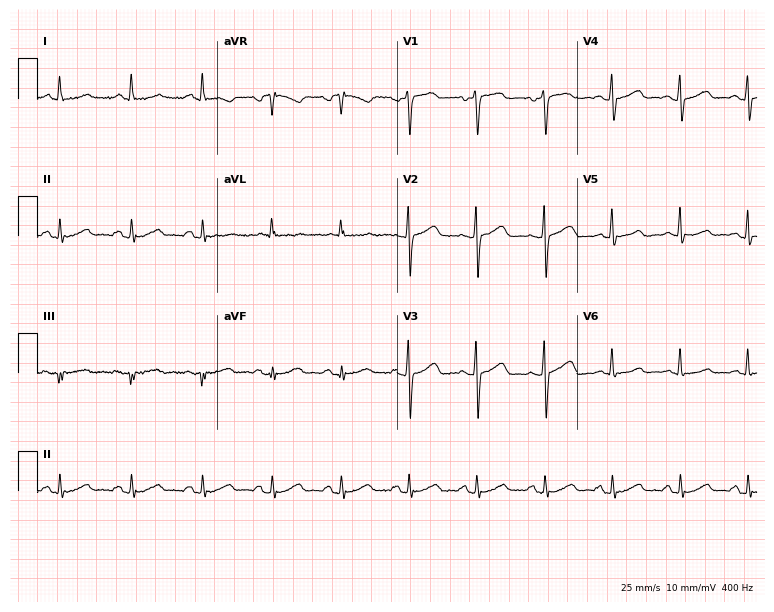
12-lead ECG from a 55-year-old woman (7.3-second recording at 400 Hz). Recorded interpretation: within normal limits.